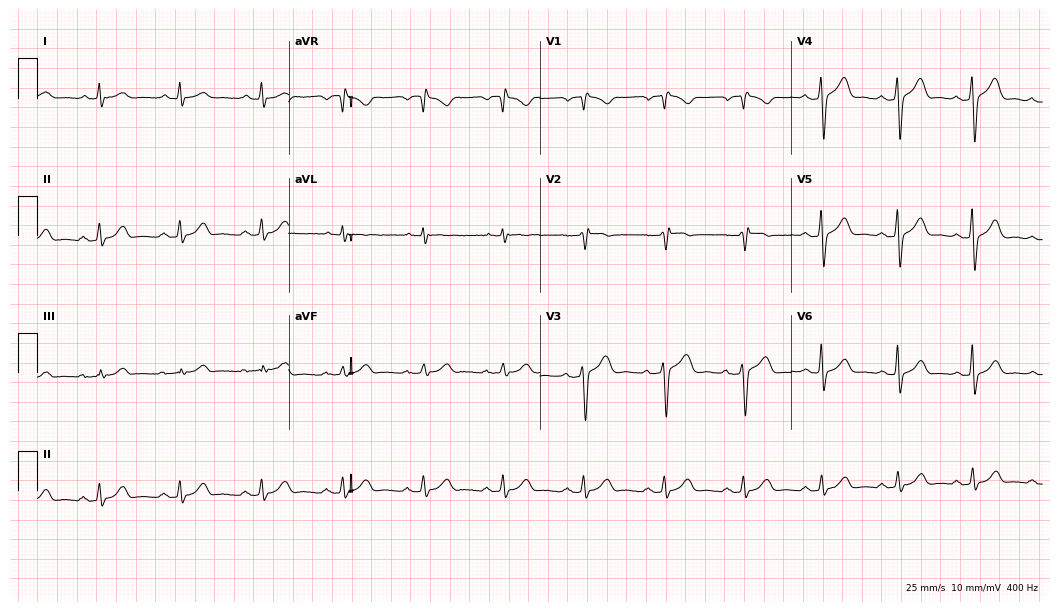
12-lead ECG from a man, 53 years old. Screened for six findings — first-degree AV block, right bundle branch block, left bundle branch block, sinus bradycardia, atrial fibrillation, sinus tachycardia — none is recorded. Findings outside these six are not listed.